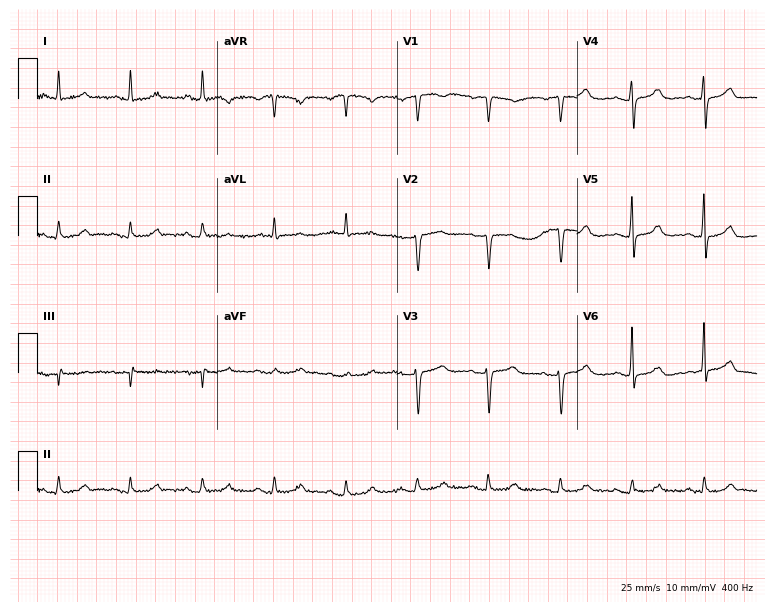
Electrocardiogram (7.3-second recording at 400 Hz), an 85-year-old female patient. Overall reading on record: normal ECG.